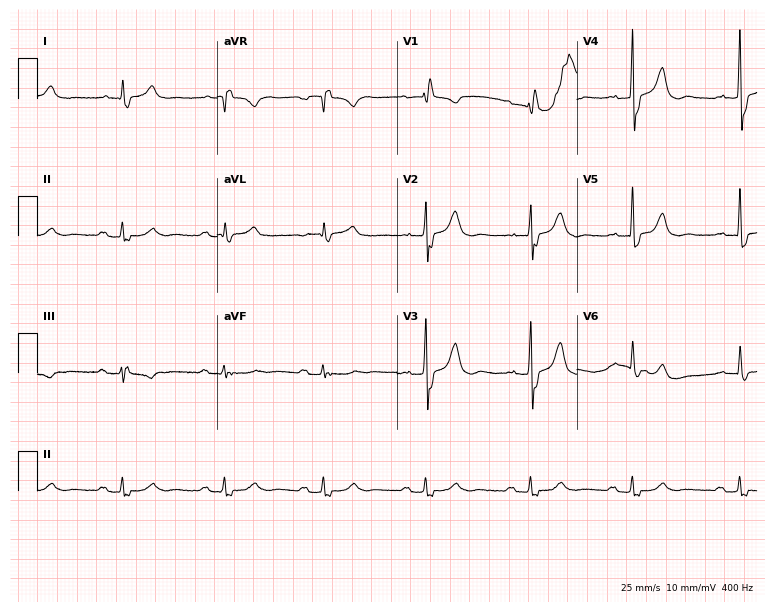
12-lead ECG from a female patient, 79 years old. Findings include first-degree AV block, right bundle branch block (RBBB).